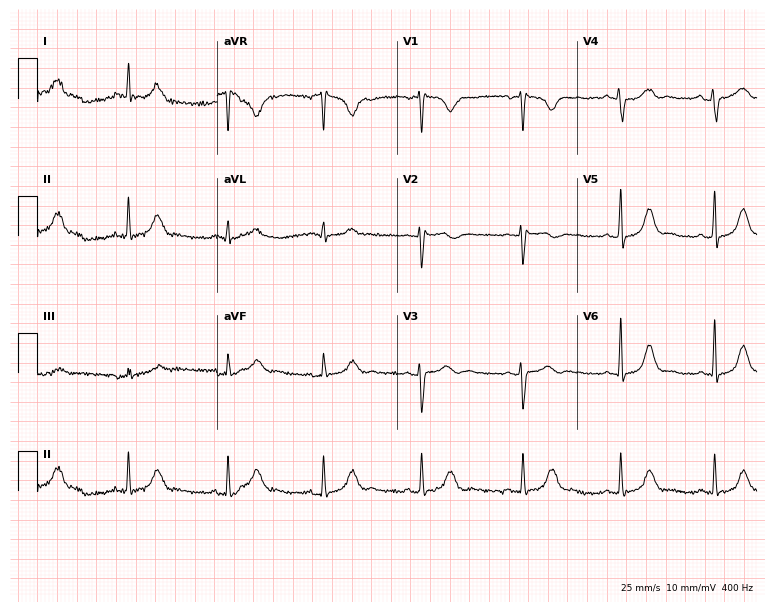
Electrocardiogram, a 47-year-old female. Overall reading on record: normal ECG.